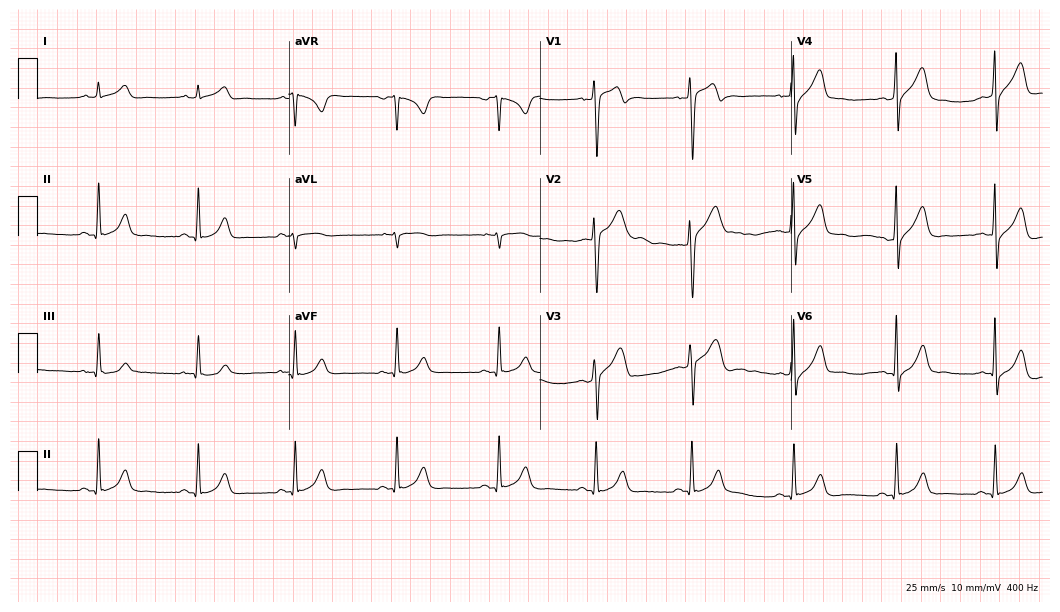
12-lead ECG from a 38-year-old male patient. No first-degree AV block, right bundle branch block, left bundle branch block, sinus bradycardia, atrial fibrillation or sinus tachycardia recorded for this tracing. Other findings, if any, are not listed.